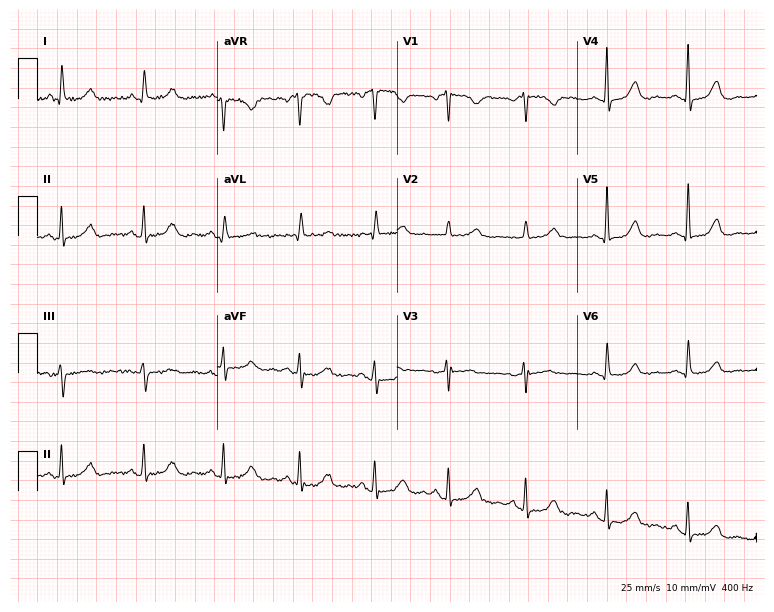
Resting 12-lead electrocardiogram (7.3-second recording at 400 Hz). Patient: a 73-year-old female. None of these six findings is recorded: first-degree AV block, right bundle branch block, left bundle branch block, sinus bradycardia, atrial fibrillation, sinus tachycardia.